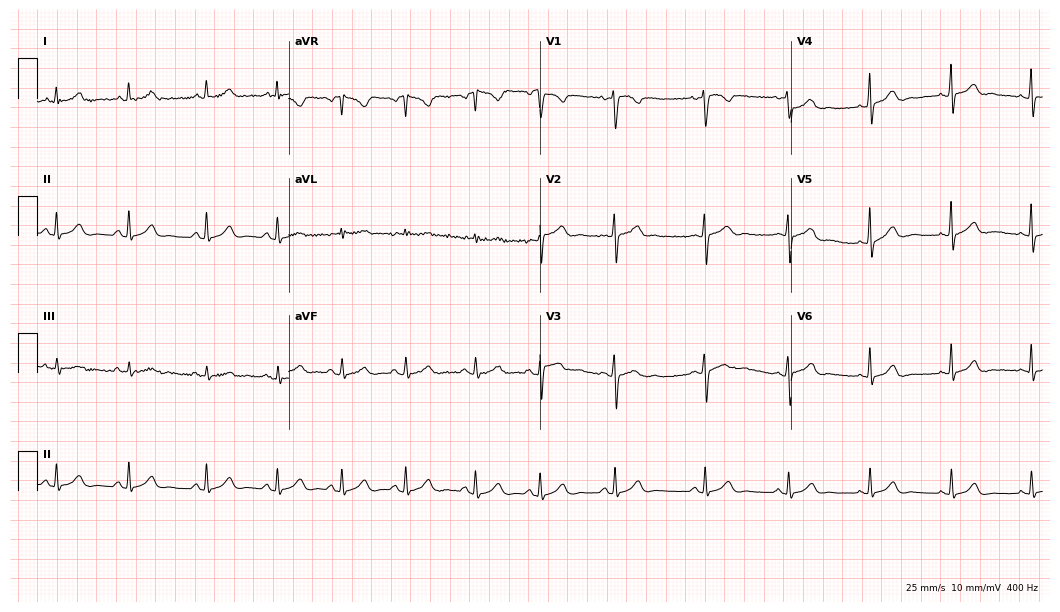
ECG — an 18-year-old female. Labelled as a normal ECG.